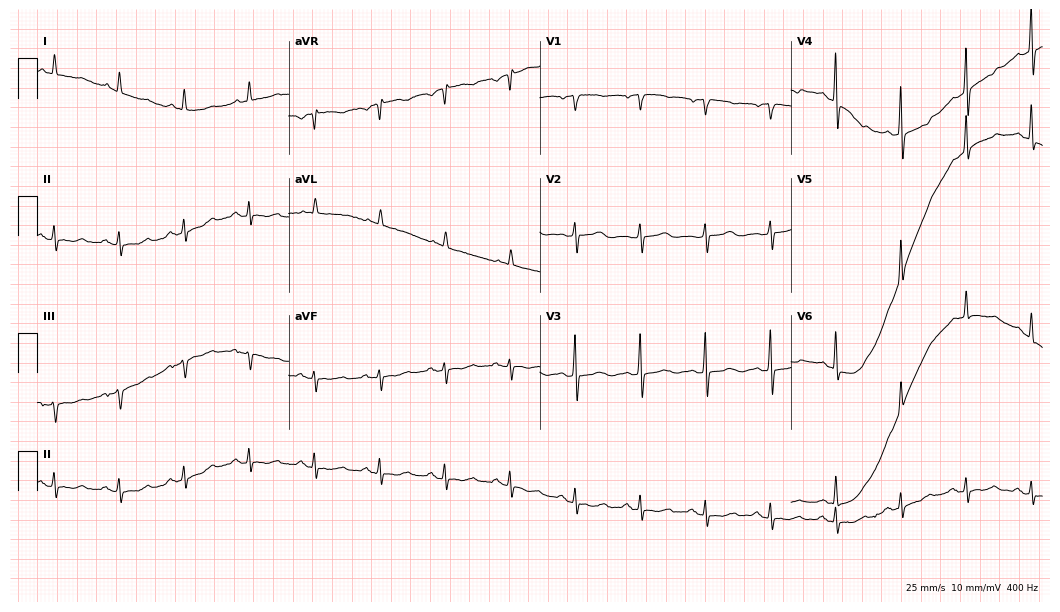
Electrocardiogram (10.2-second recording at 400 Hz), a 74-year-old female. Of the six screened findings (first-degree AV block, right bundle branch block, left bundle branch block, sinus bradycardia, atrial fibrillation, sinus tachycardia), none is recorded. Only these six findings were labelled.